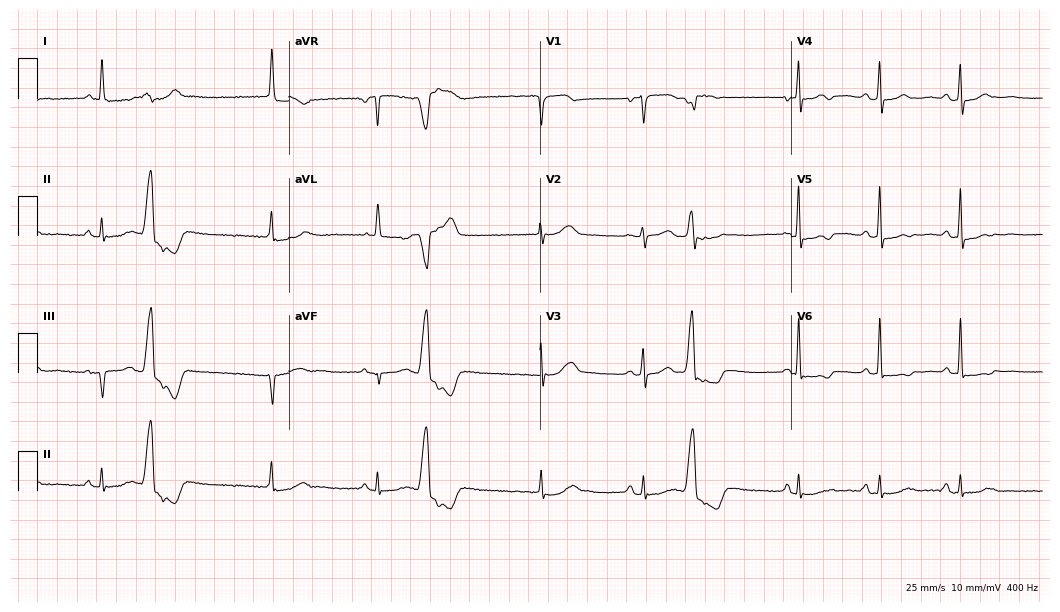
Standard 12-lead ECG recorded from a female patient, 69 years old (10.2-second recording at 400 Hz). None of these six findings is recorded: first-degree AV block, right bundle branch block, left bundle branch block, sinus bradycardia, atrial fibrillation, sinus tachycardia. Only these six findings were labelled.